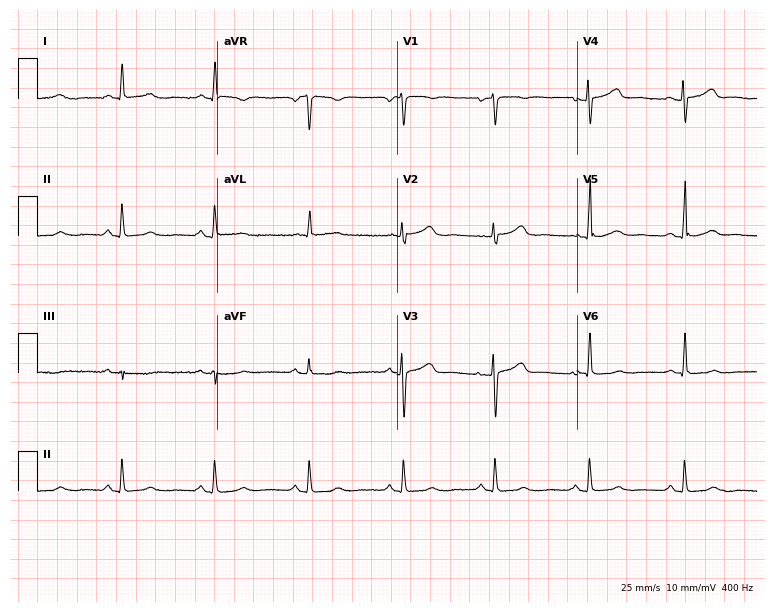
12-lead ECG (7.3-second recording at 400 Hz) from a 50-year-old woman. Labelled as a normal ECG.